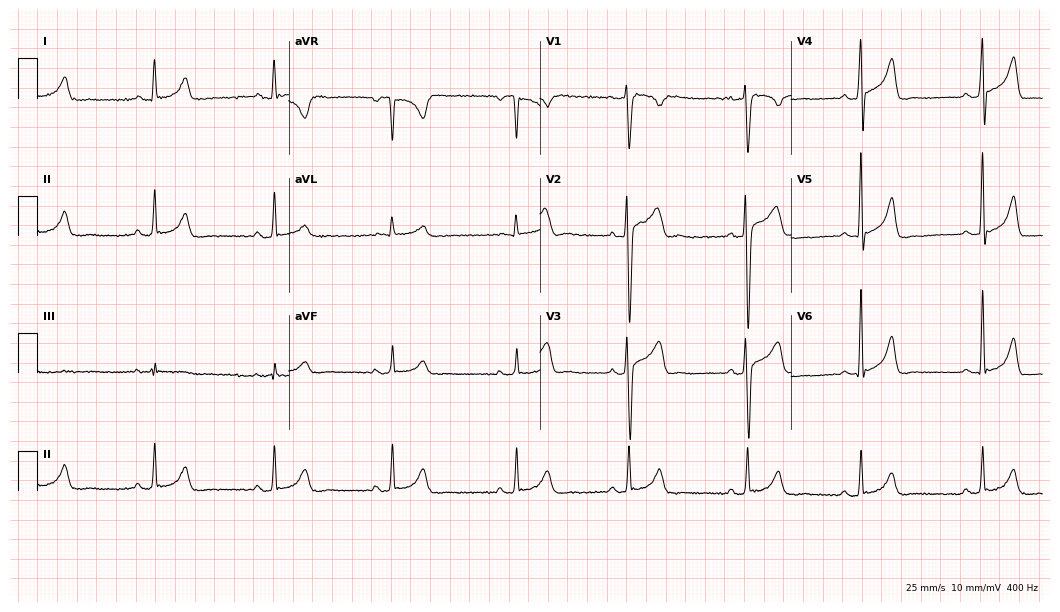
ECG — a man, 47 years old. Findings include sinus bradycardia (a sinus rate of 50 beats per minute or less).